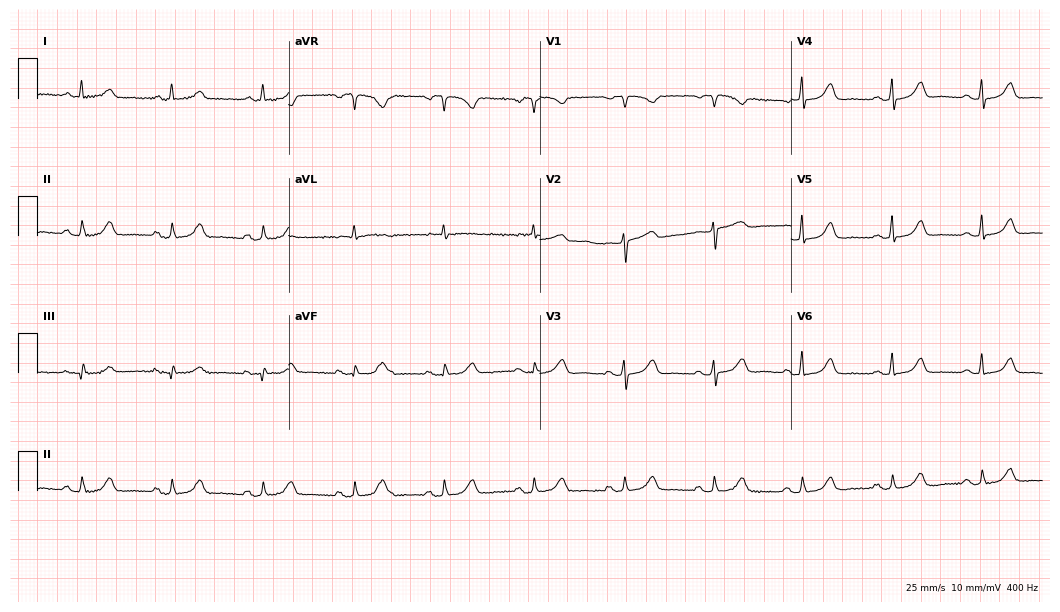
ECG — a female patient, 75 years old. Labelled as a normal ECG.